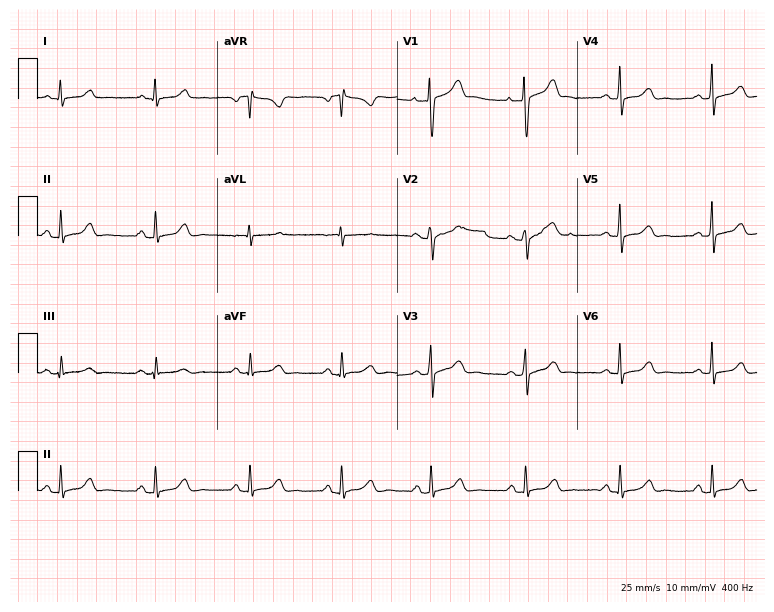
12-lead ECG from a woman, 40 years old. Labelled as a normal ECG.